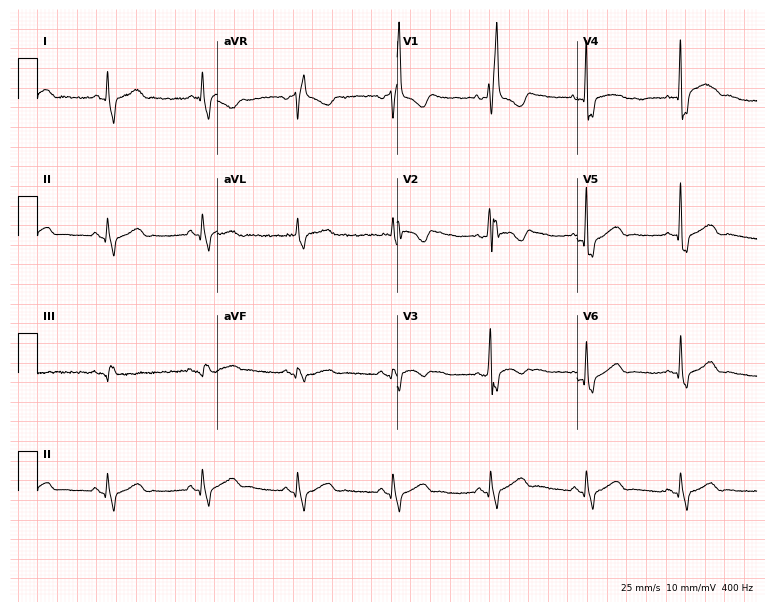
Resting 12-lead electrocardiogram (7.3-second recording at 400 Hz). Patient: a male, 71 years old. The tracing shows right bundle branch block.